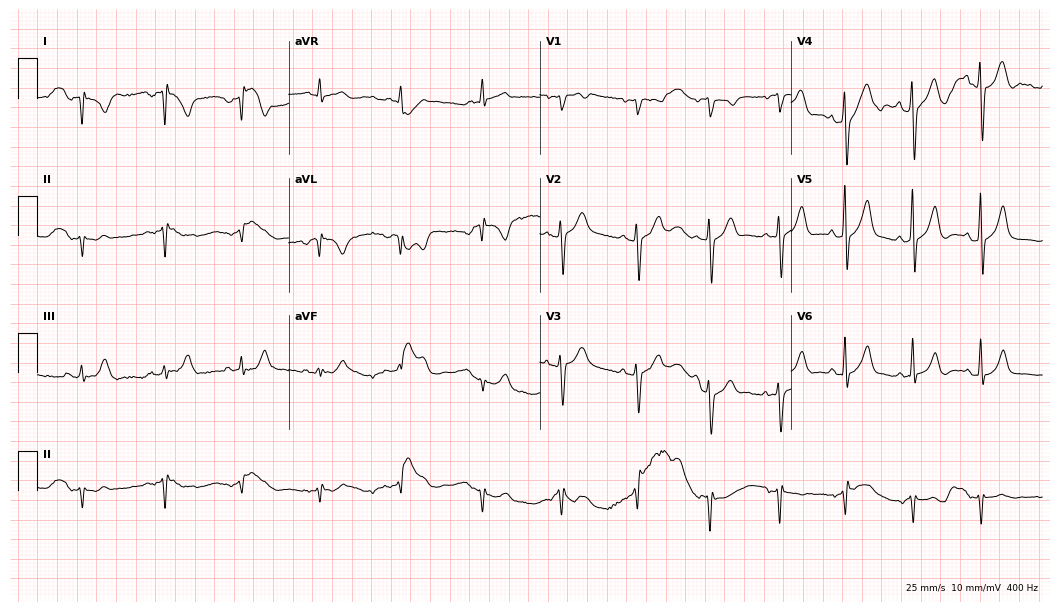
Standard 12-lead ECG recorded from a 47-year-old man. Read as a normal ECG.